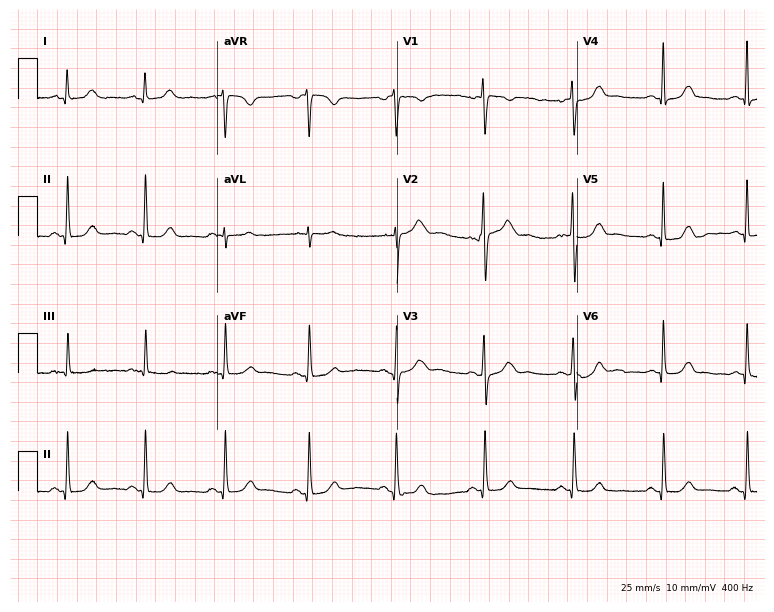
Standard 12-lead ECG recorded from a 45-year-old female patient (7.3-second recording at 400 Hz). None of these six findings is recorded: first-degree AV block, right bundle branch block (RBBB), left bundle branch block (LBBB), sinus bradycardia, atrial fibrillation (AF), sinus tachycardia.